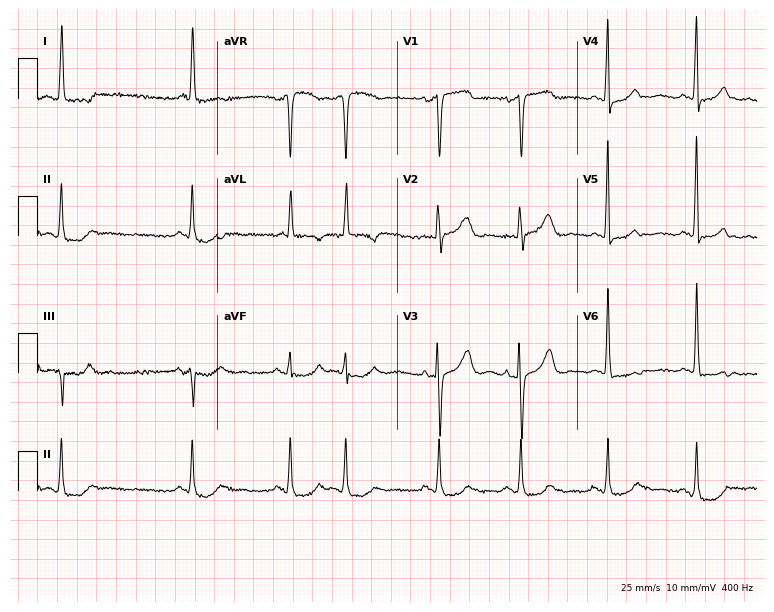
ECG (7.3-second recording at 400 Hz) — a male patient, 85 years old. Screened for six findings — first-degree AV block, right bundle branch block, left bundle branch block, sinus bradycardia, atrial fibrillation, sinus tachycardia — none is recorded.